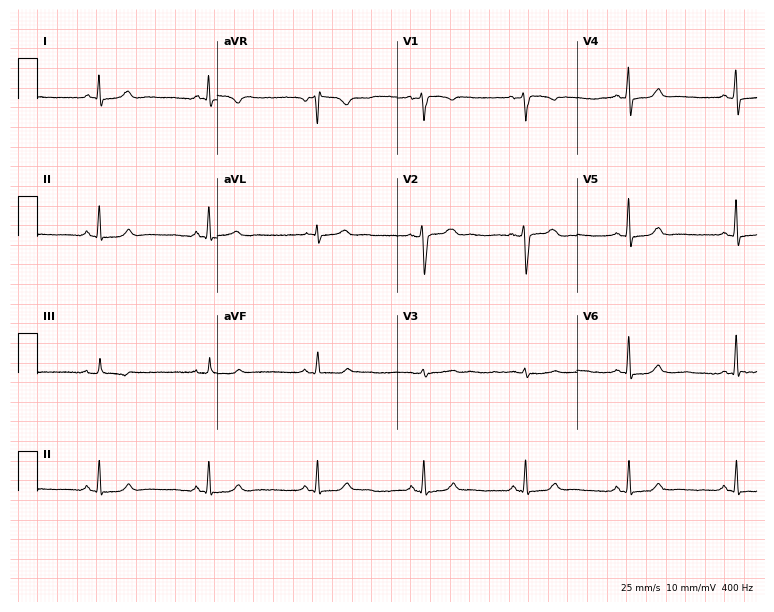
ECG (7.3-second recording at 400 Hz) — a female patient, 39 years old. Labelled as a normal ECG.